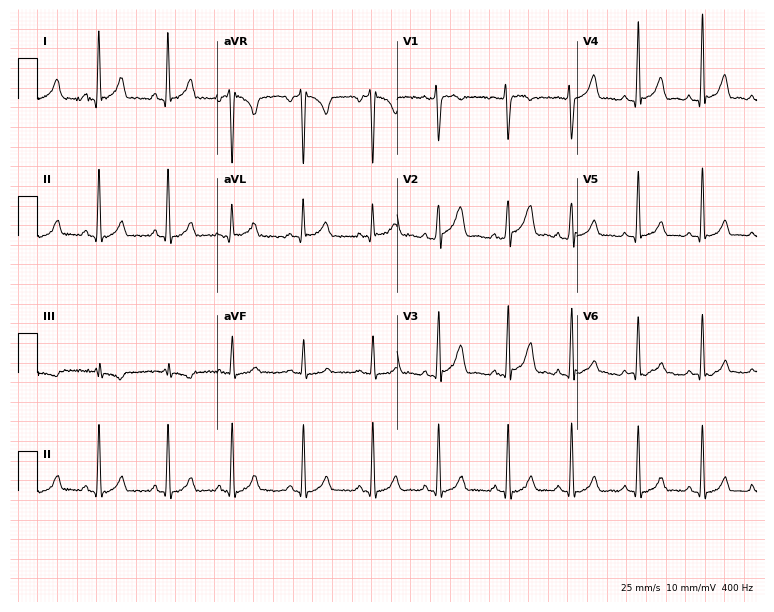
12-lead ECG from a 26-year-old woman. Recorded interpretation: within normal limits.